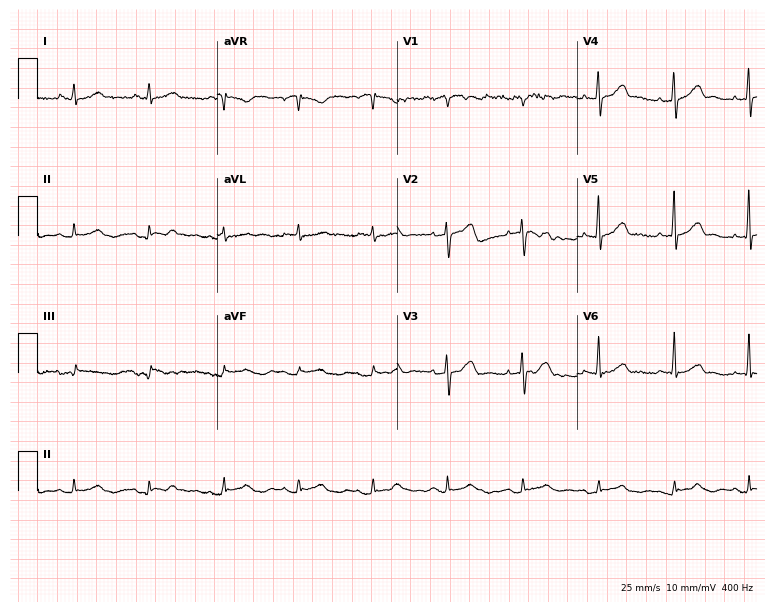
Standard 12-lead ECG recorded from a 71-year-old male patient. None of these six findings is recorded: first-degree AV block, right bundle branch block, left bundle branch block, sinus bradycardia, atrial fibrillation, sinus tachycardia. Other findings, if any, are not listed.